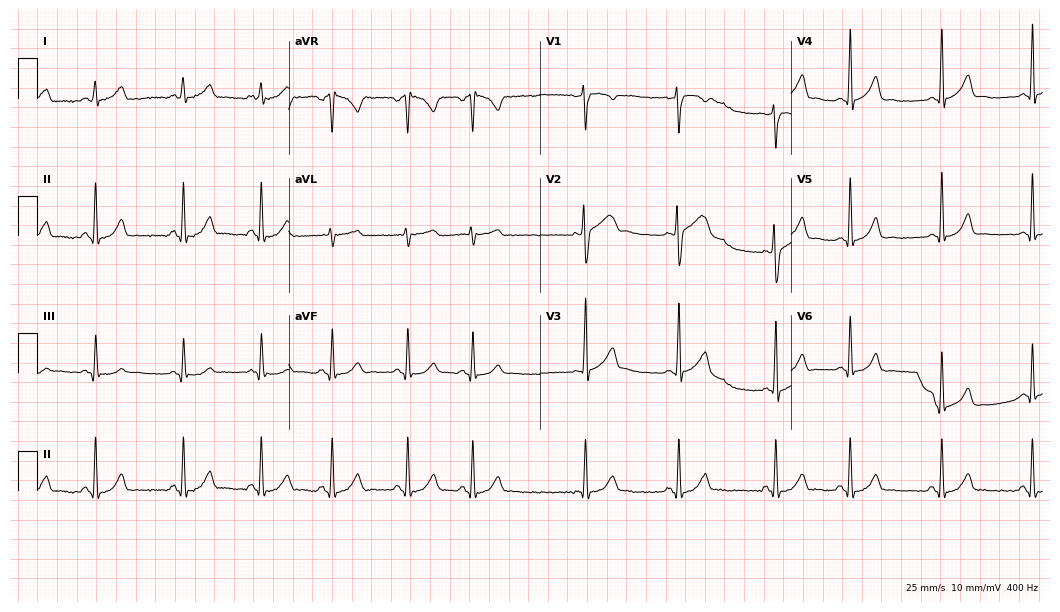
12-lead ECG (10.2-second recording at 400 Hz) from a 19-year-old woman. Labelled as a normal ECG.